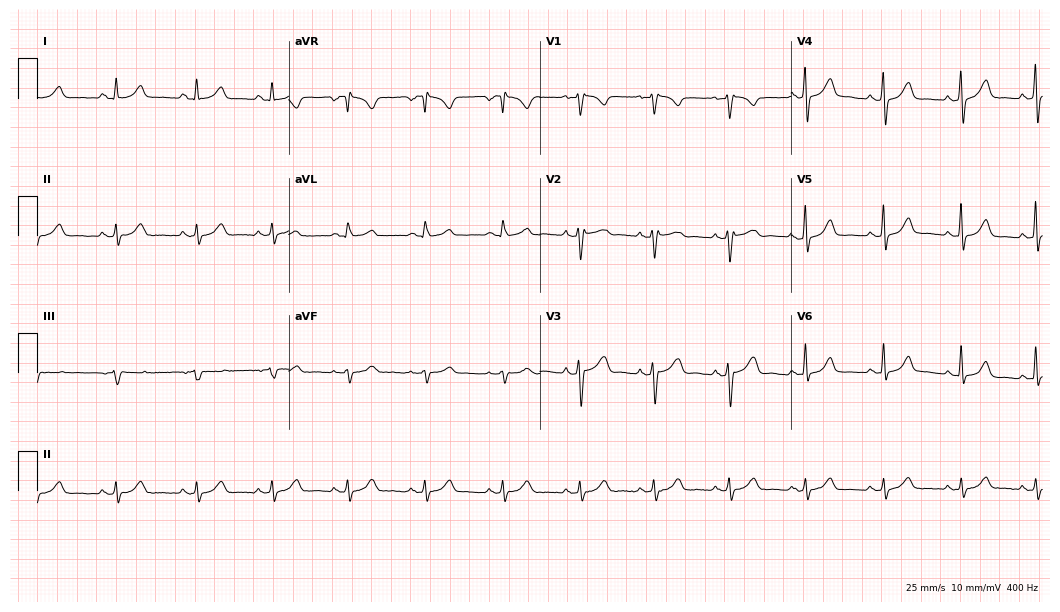
12-lead ECG from a 43-year-old female. Recorded interpretation: within normal limits.